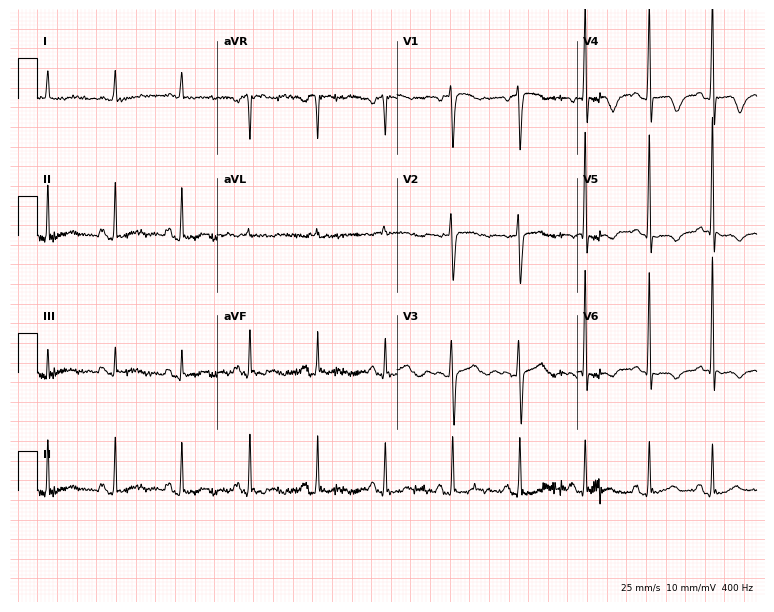
Electrocardiogram, a 73-year-old male patient. Of the six screened findings (first-degree AV block, right bundle branch block, left bundle branch block, sinus bradycardia, atrial fibrillation, sinus tachycardia), none is recorded. Findings outside these six are not listed.